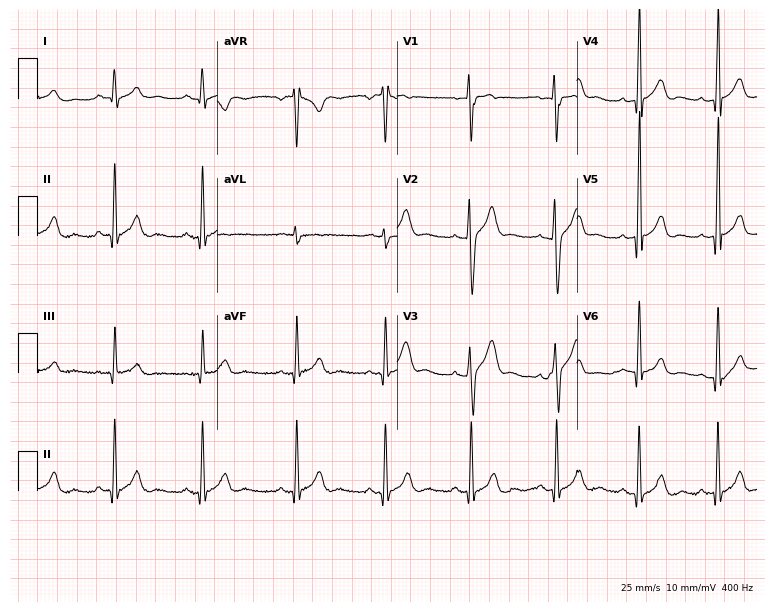
Resting 12-lead electrocardiogram (7.3-second recording at 400 Hz). Patient: a male, 23 years old. Read as a normal ECG.